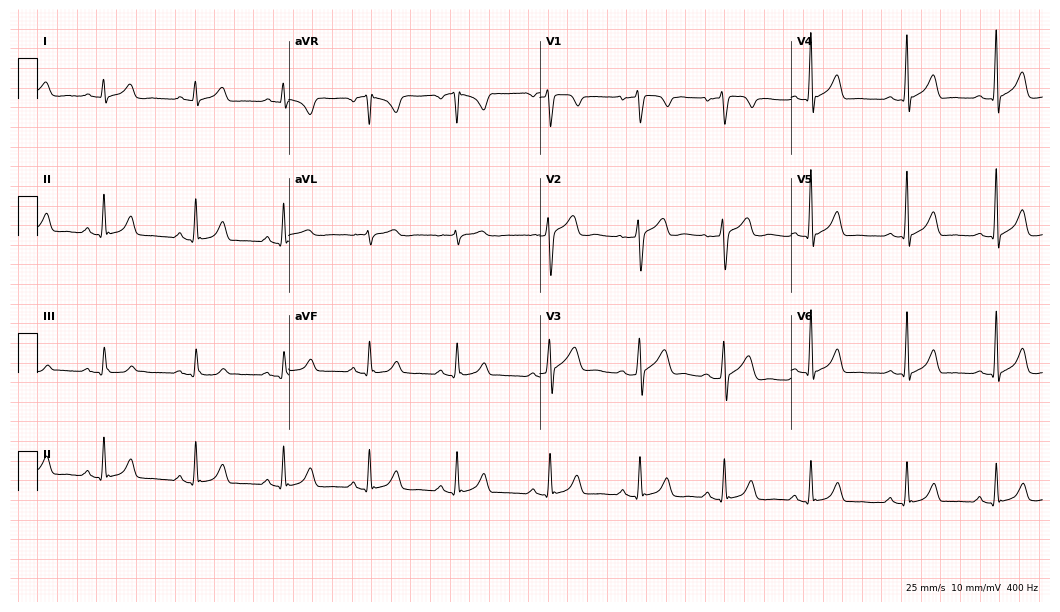
Resting 12-lead electrocardiogram (10.2-second recording at 400 Hz). Patient: a 29-year-old man. Read as a normal ECG.